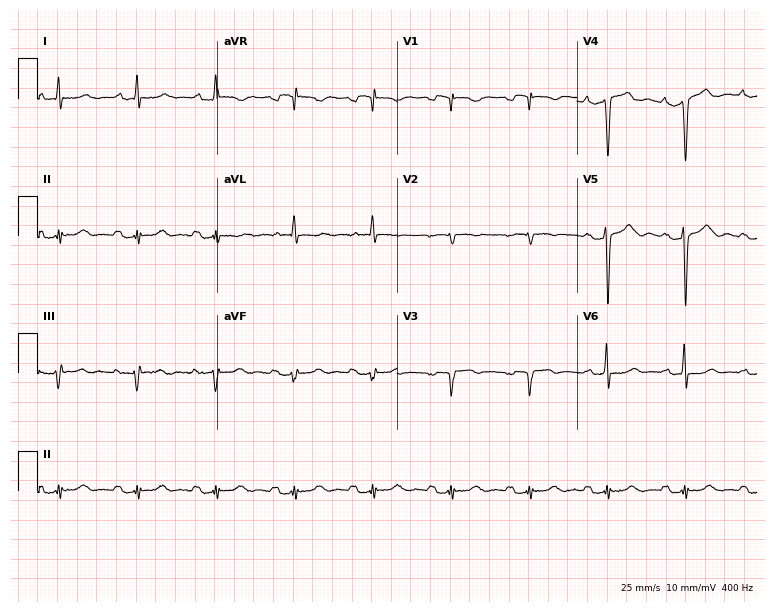
ECG (7.3-second recording at 400 Hz) — a male, 81 years old. Screened for six findings — first-degree AV block, right bundle branch block (RBBB), left bundle branch block (LBBB), sinus bradycardia, atrial fibrillation (AF), sinus tachycardia — none is recorded. Findings outside these six are not listed.